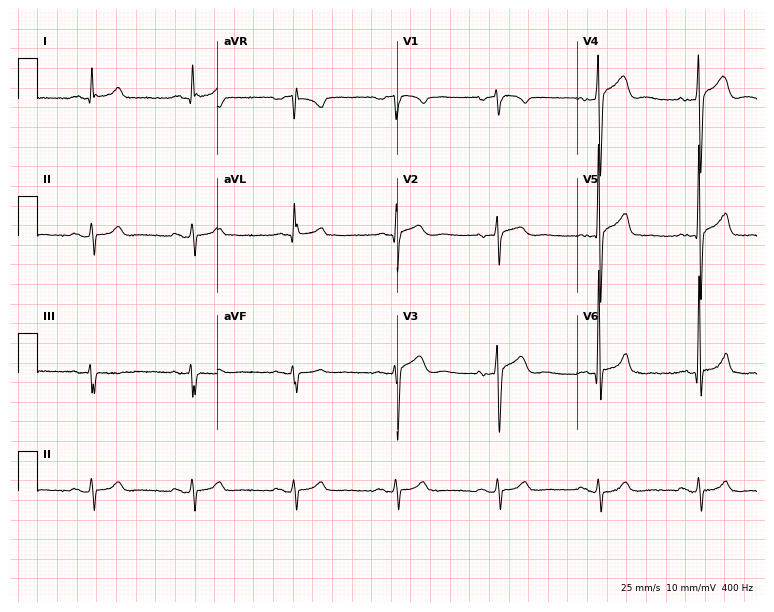
12-lead ECG from a 62-year-old man. No first-degree AV block, right bundle branch block (RBBB), left bundle branch block (LBBB), sinus bradycardia, atrial fibrillation (AF) or sinus tachycardia recorded for this tracing. Only these six findings were labelled.